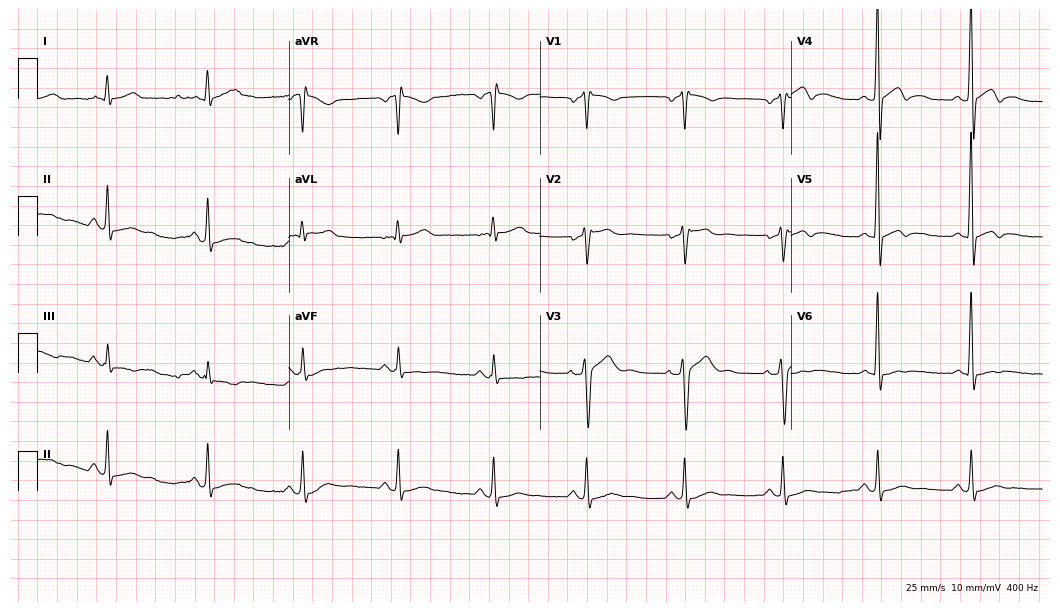
12-lead ECG (10.2-second recording at 400 Hz) from a male patient, 33 years old. Screened for six findings — first-degree AV block, right bundle branch block, left bundle branch block, sinus bradycardia, atrial fibrillation, sinus tachycardia — none is recorded.